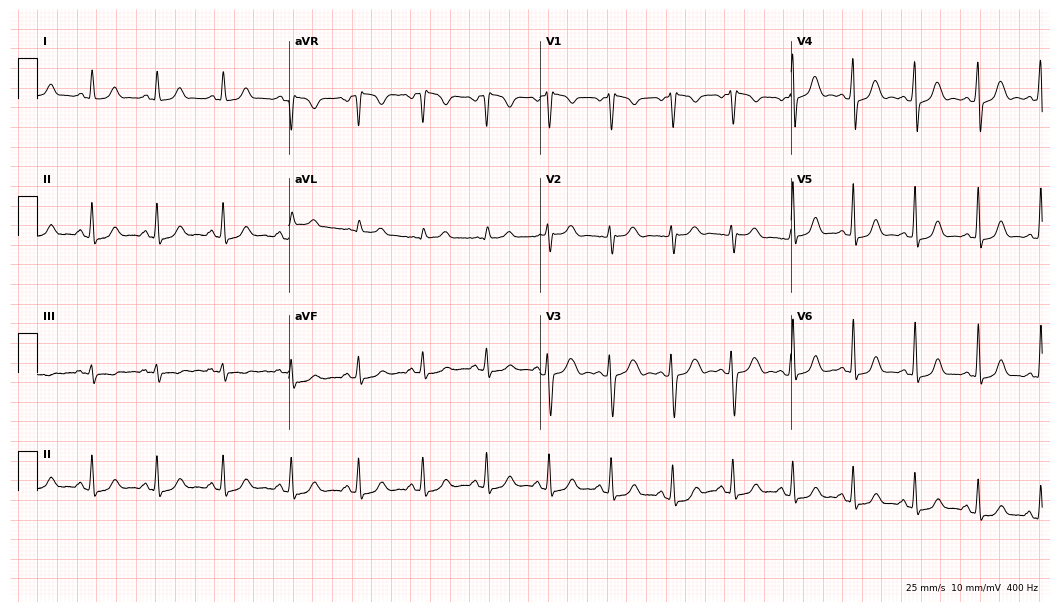
12-lead ECG from a female patient, 37 years old. Screened for six findings — first-degree AV block, right bundle branch block, left bundle branch block, sinus bradycardia, atrial fibrillation, sinus tachycardia — none is recorded. Other findings, if any, are not listed.